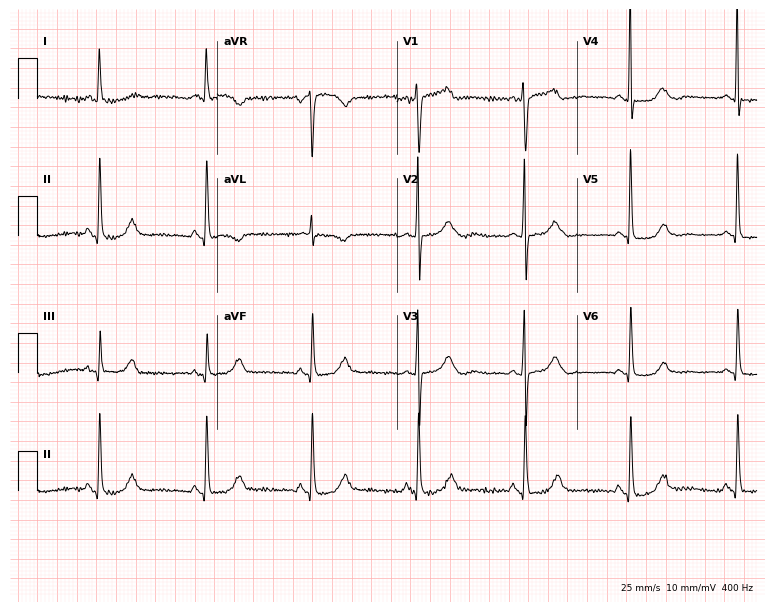
Standard 12-lead ECG recorded from a 61-year-old woman. None of these six findings is recorded: first-degree AV block, right bundle branch block (RBBB), left bundle branch block (LBBB), sinus bradycardia, atrial fibrillation (AF), sinus tachycardia. Findings outside these six are not listed.